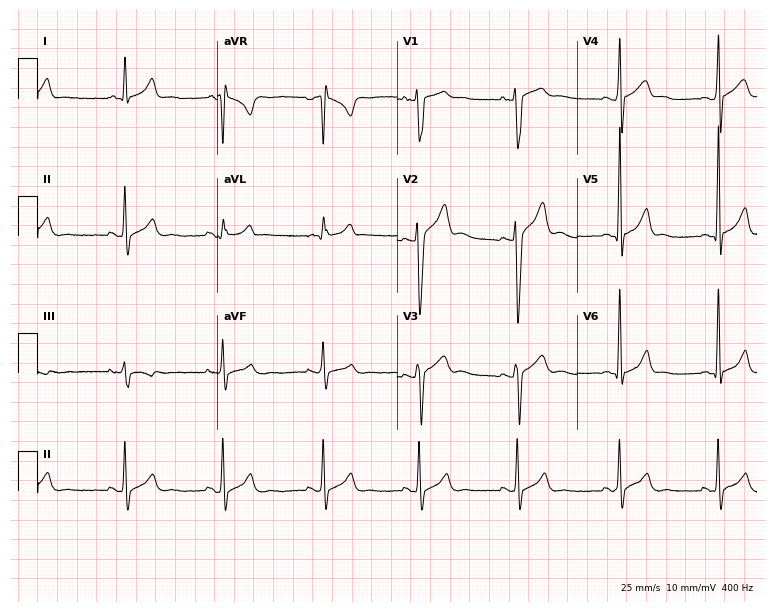
12-lead ECG from a man, 20 years old (7.3-second recording at 400 Hz). Recorded interpretation: within normal limits.